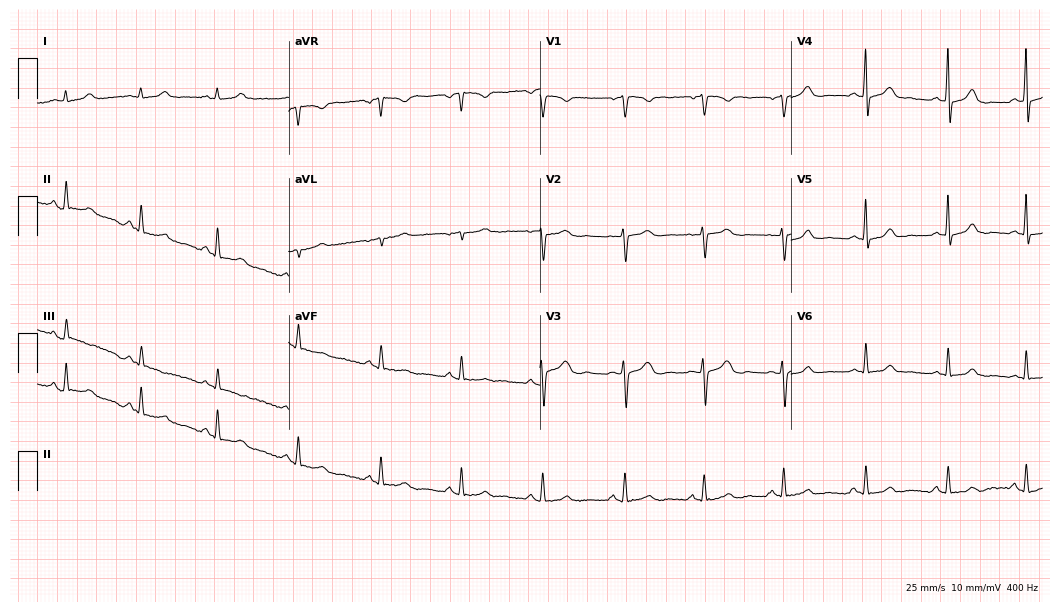
Standard 12-lead ECG recorded from a female, 19 years old. Read as a normal ECG.